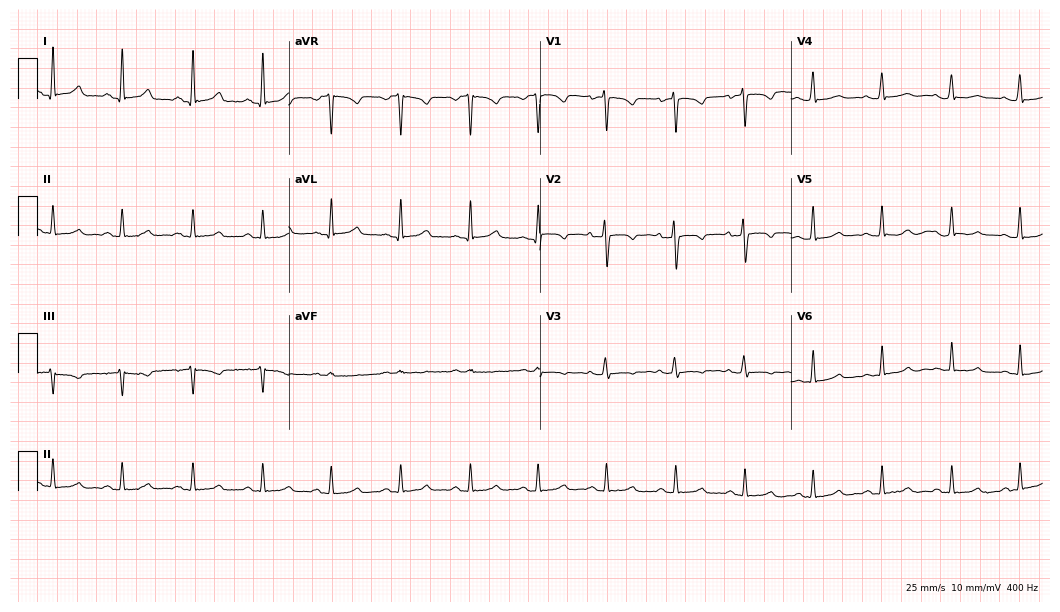
Resting 12-lead electrocardiogram (10.2-second recording at 400 Hz). Patient: a 23-year-old female. Read as a normal ECG.